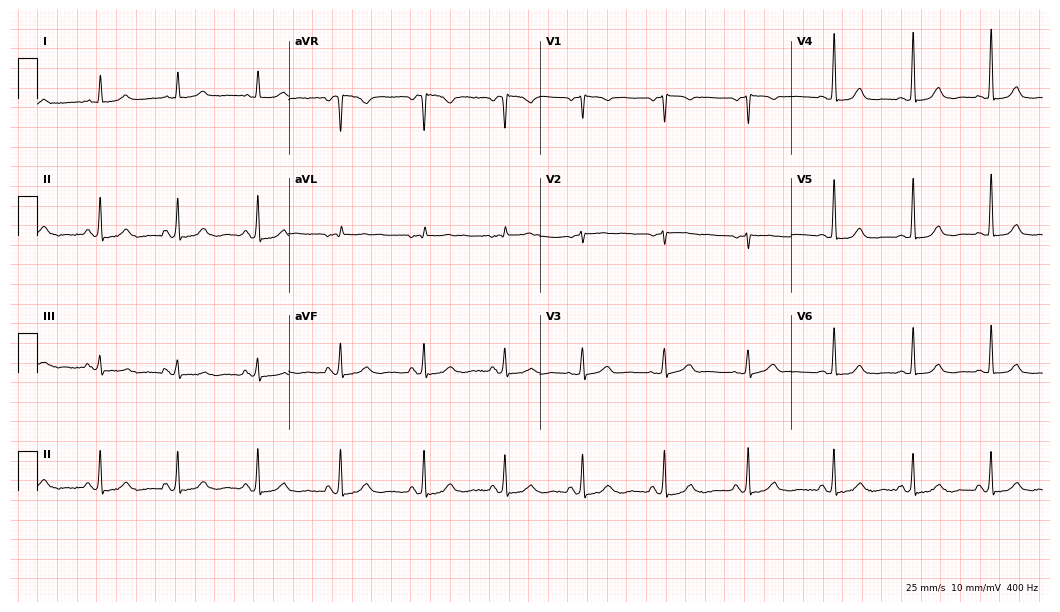
12-lead ECG from a female patient, 69 years old. Labelled as a normal ECG.